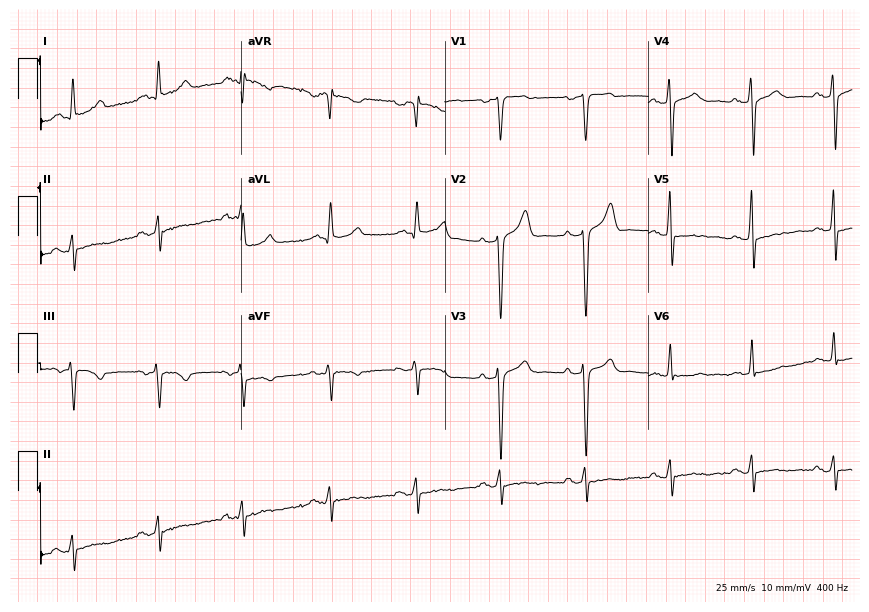
Standard 12-lead ECG recorded from a 56-year-old man. Read as a normal ECG.